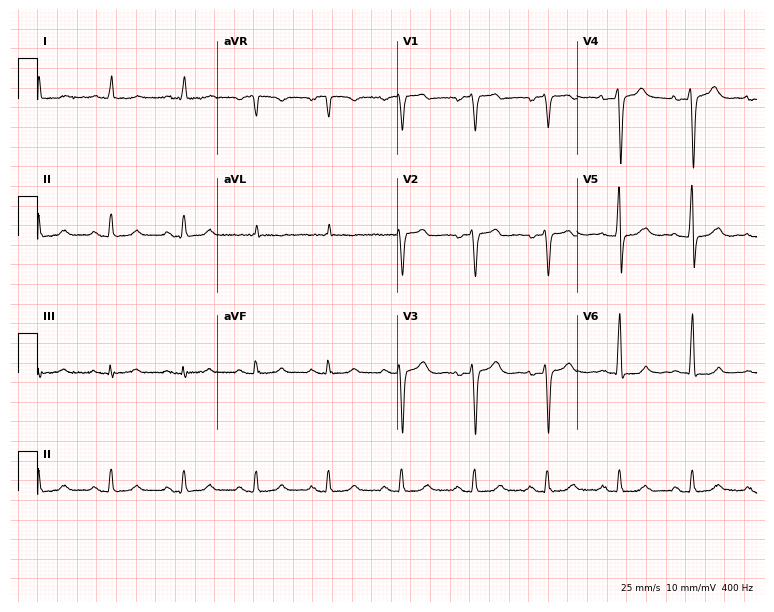
Resting 12-lead electrocardiogram. Patient: a woman, 83 years old. None of these six findings is recorded: first-degree AV block, right bundle branch block, left bundle branch block, sinus bradycardia, atrial fibrillation, sinus tachycardia. Findings outside these six are not listed.